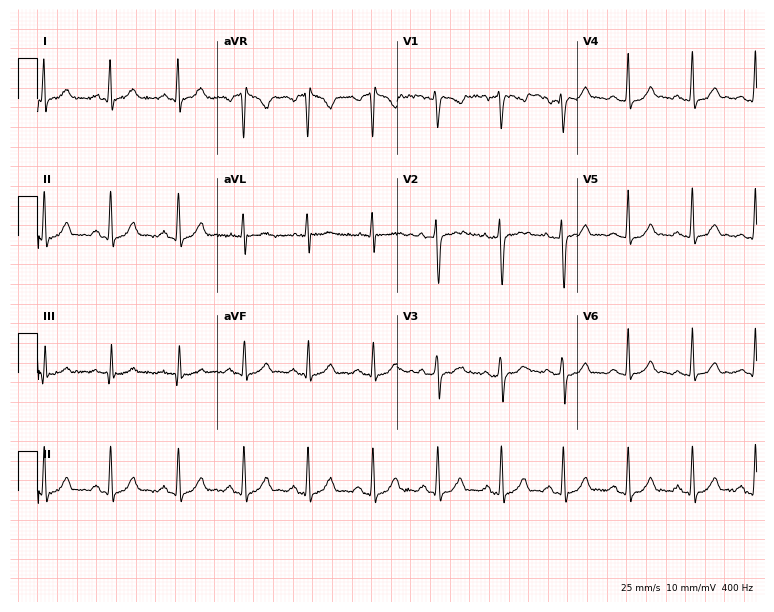
12-lead ECG from a female, 25 years old. Labelled as a normal ECG.